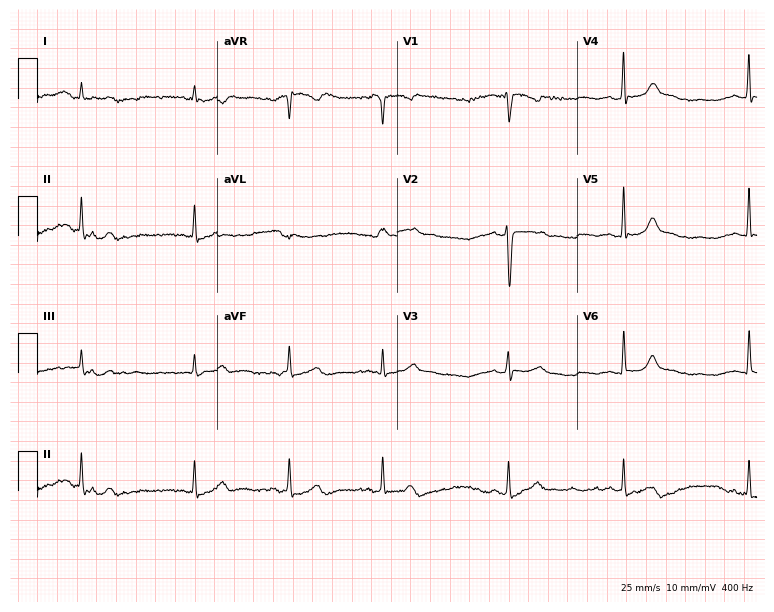
Electrocardiogram (7.3-second recording at 400 Hz), a female, 18 years old. Of the six screened findings (first-degree AV block, right bundle branch block, left bundle branch block, sinus bradycardia, atrial fibrillation, sinus tachycardia), none is recorded.